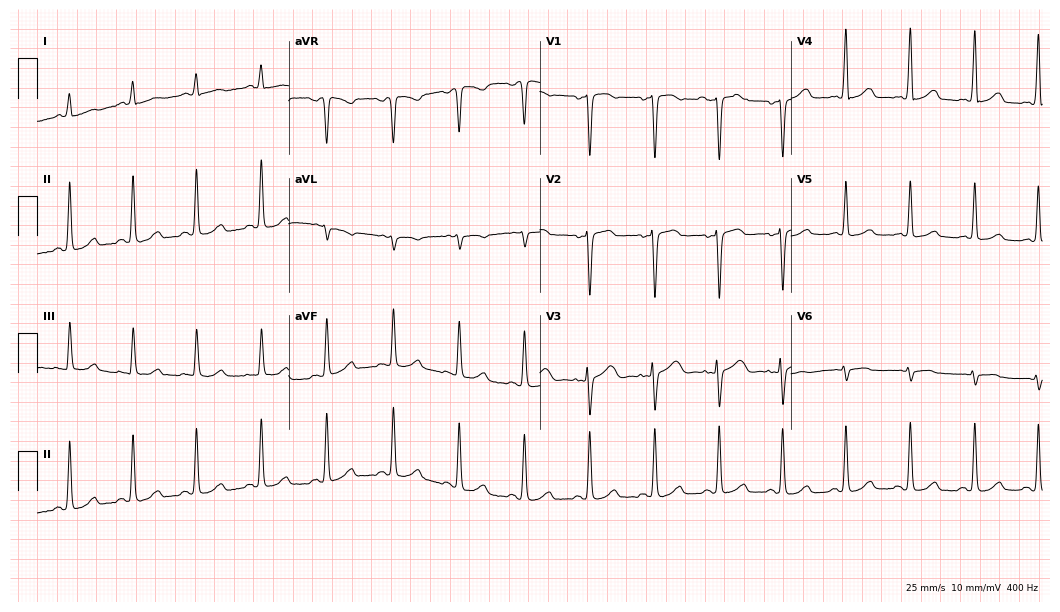
Electrocardiogram, a woman, 39 years old. Overall reading on record: normal ECG.